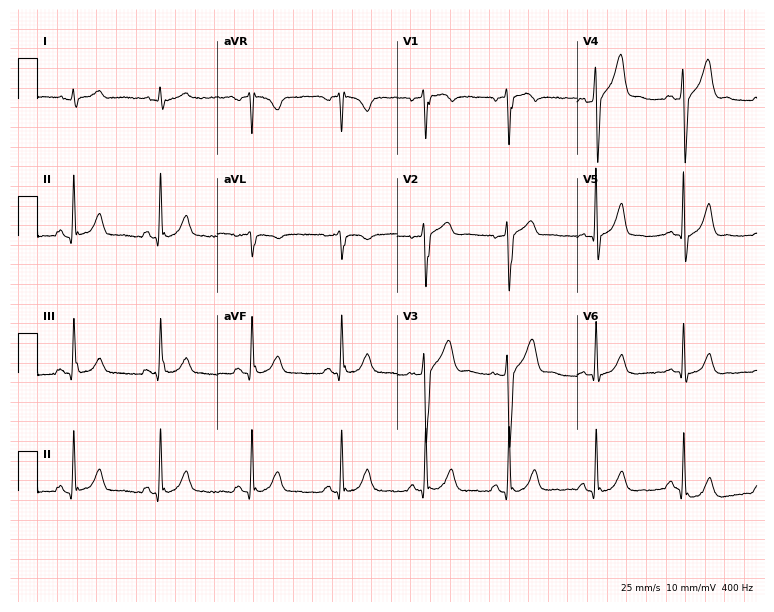
Resting 12-lead electrocardiogram. Patient: a 51-year-old man. Read as a normal ECG.